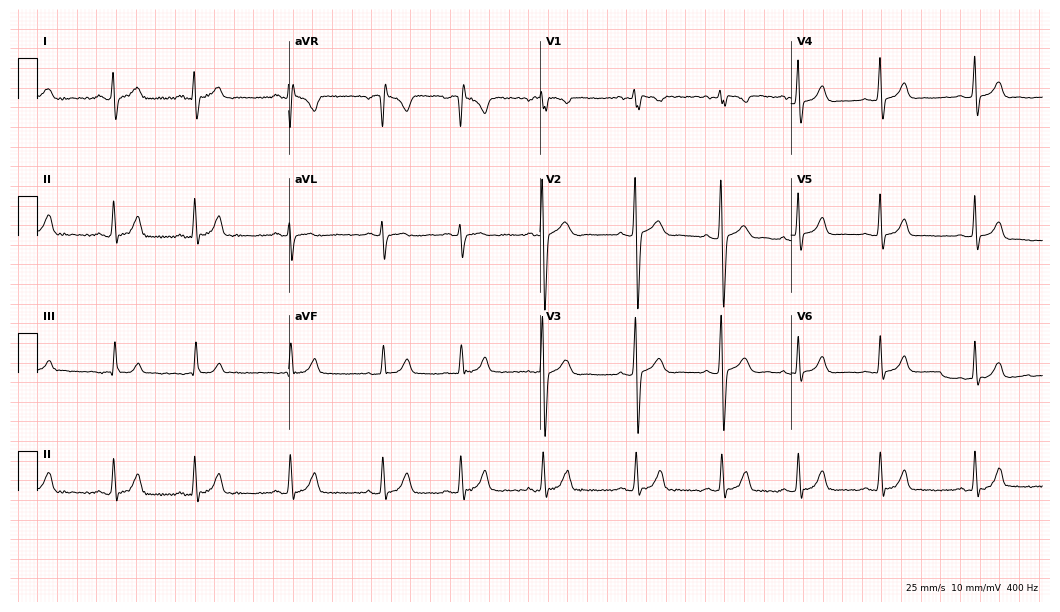
12-lead ECG from a 19-year-old female (10.2-second recording at 400 Hz). No first-degree AV block, right bundle branch block, left bundle branch block, sinus bradycardia, atrial fibrillation or sinus tachycardia recorded for this tracing. Only these six findings were labelled.